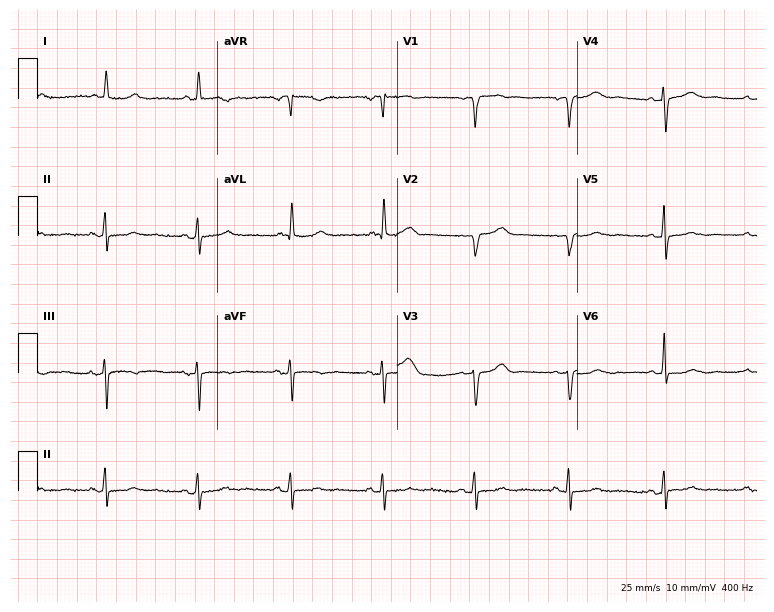
12-lead ECG from a woman, 70 years old. Screened for six findings — first-degree AV block, right bundle branch block, left bundle branch block, sinus bradycardia, atrial fibrillation, sinus tachycardia — none is recorded. Only these six findings were labelled.